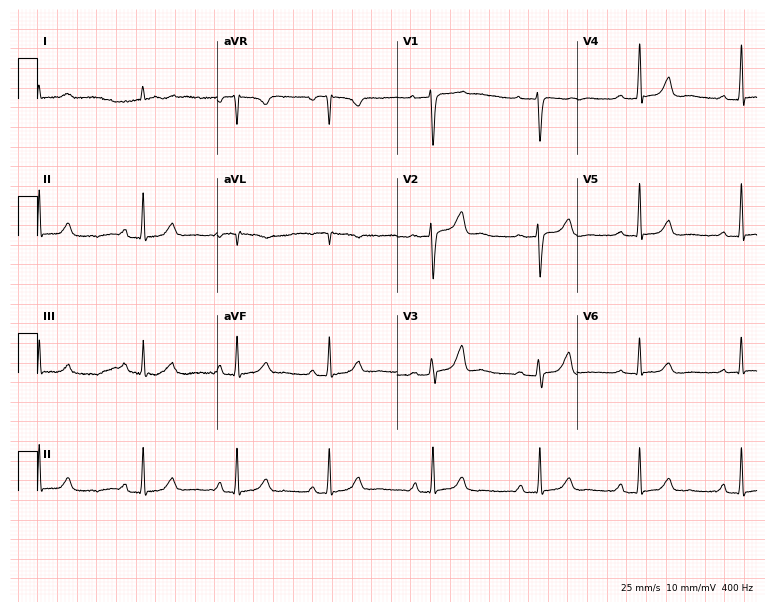
12-lead ECG from a female, 40 years old. No first-degree AV block, right bundle branch block (RBBB), left bundle branch block (LBBB), sinus bradycardia, atrial fibrillation (AF) or sinus tachycardia recorded for this tracing.